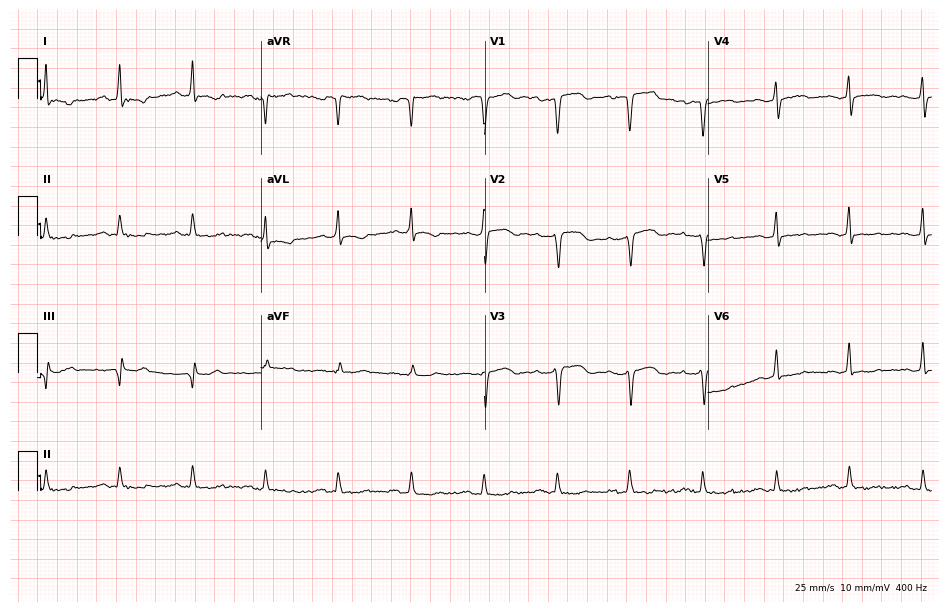
Electrocardiogram (9.1-second recording at 400 Hz), a woman, 32 years old. Of the six screened findings (first-degree AV block, right bundle branch block, left bundle branch block, sinus bradycardia, atrial fibrillation, sinus tachycardia), none is recorded.